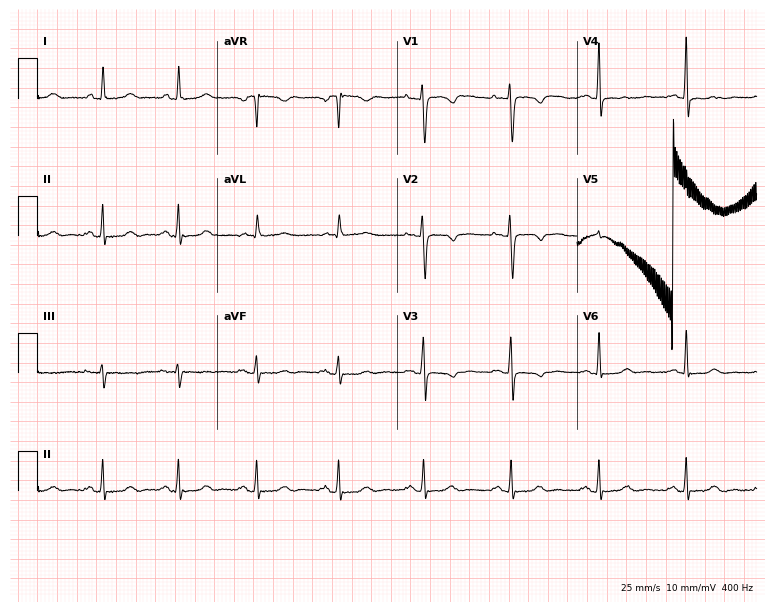
Resting 12-lead electrocardiogram (7.3-second recording at 400 Hz). Patient: a female, 51 years old. None of these six findings is recorded: first-degree AV block, right bundle branch block, left bundle branch block, sinus bradycardia, atrial fibrillation, sinus tachycardia.